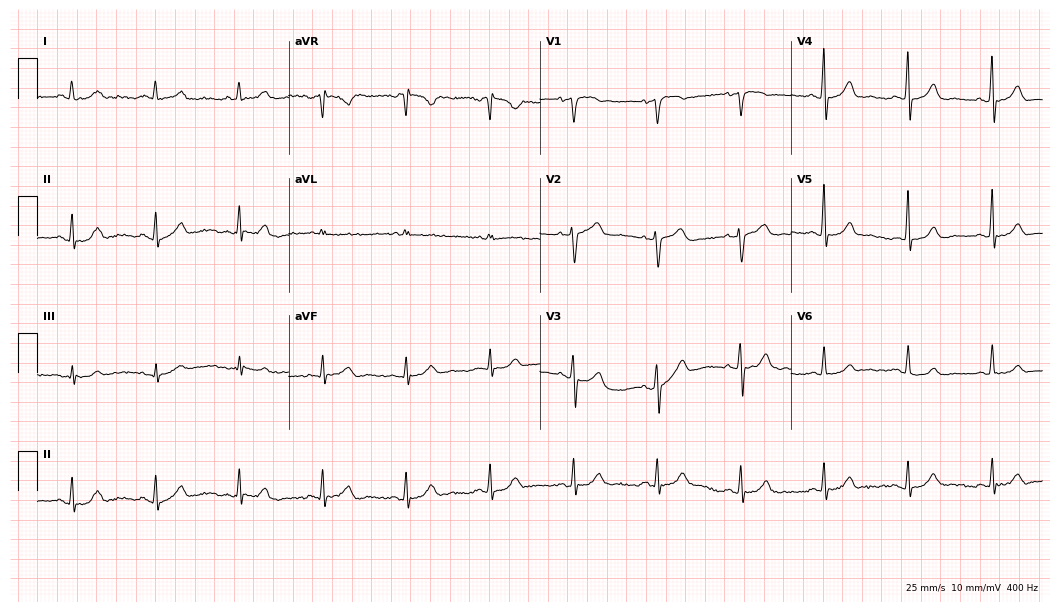
12-lead ECG (10.2-second recording at 400 Hz) from a woman, 60 years old. Screened for six findings — first-degree AV block, right bundle branch block, left bundle branch block, sinus bradycardia, atrial fibrillation, sinus tachycardia — none is recorded. Only these six findings were labelled.